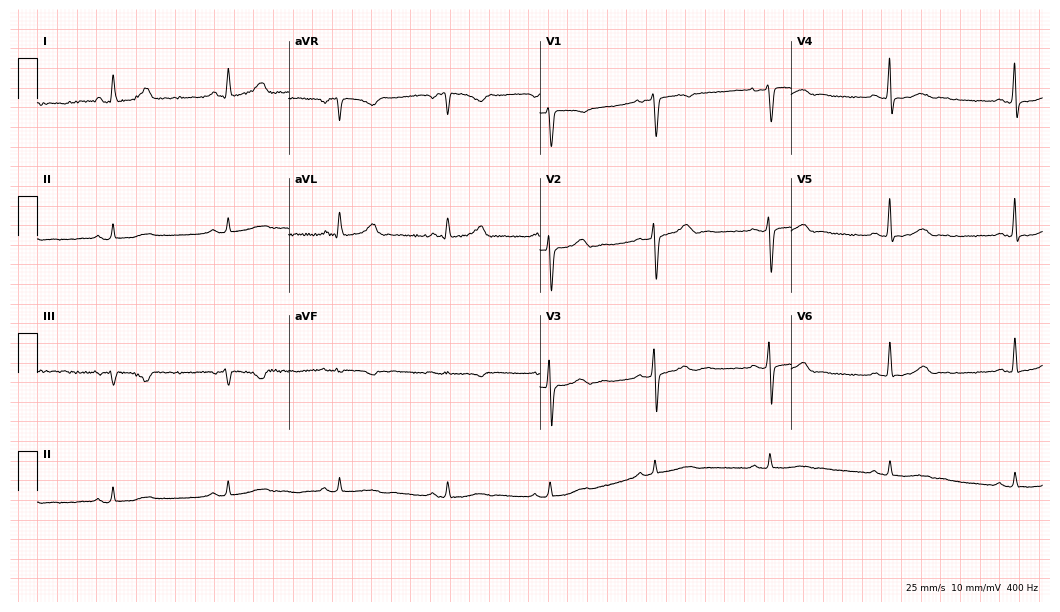
Resting 12-lead electrocardiogram (10.2-second recording at 400 Hz). Patient: a female, 45 years old. None of these six findings is recorded: first-degree AV block, right bundle branch block, left bundle branch block, sinus bradycardia, atrial fibrillation, sinus tachycardia. Findings outside these six are not listed.